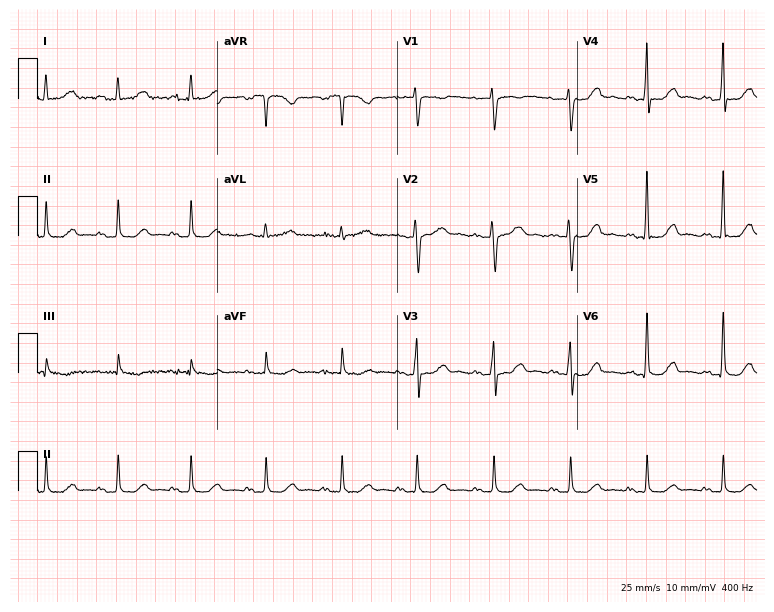
Standard 12-lead ECG recorded from a 61-year-old female patient. None of these six findings is recorded: first-degree AV block, right bundle branch block, left bundle branch block, sinus bradycardia, atrial fibrillation, sinus tachycardia.